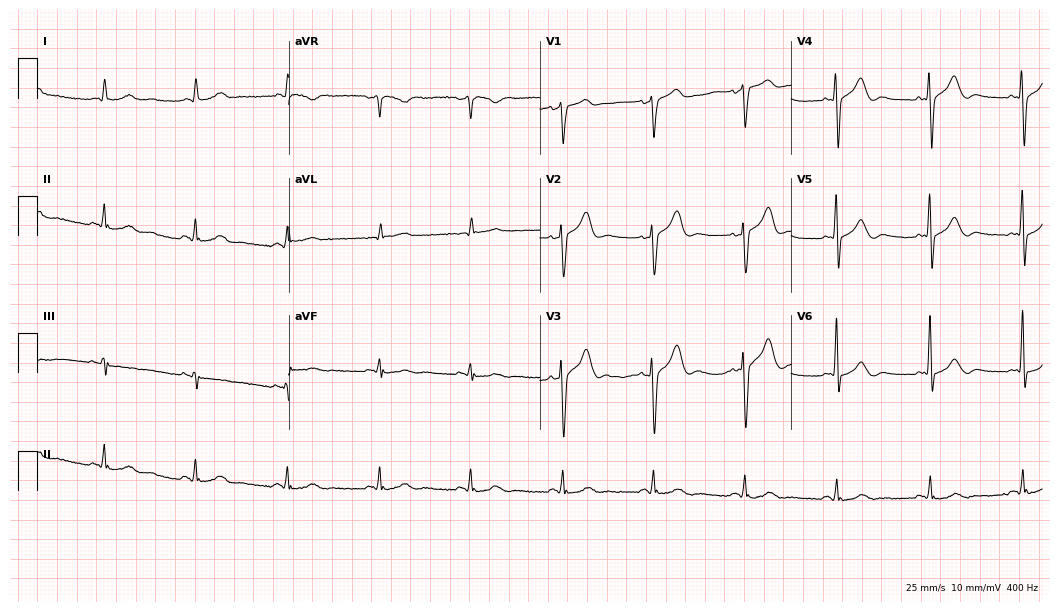
12-lead ECG from a male patient, 79 years old (10.2-second recording at 400 Hz). Recorded interpretation: within normal limits.